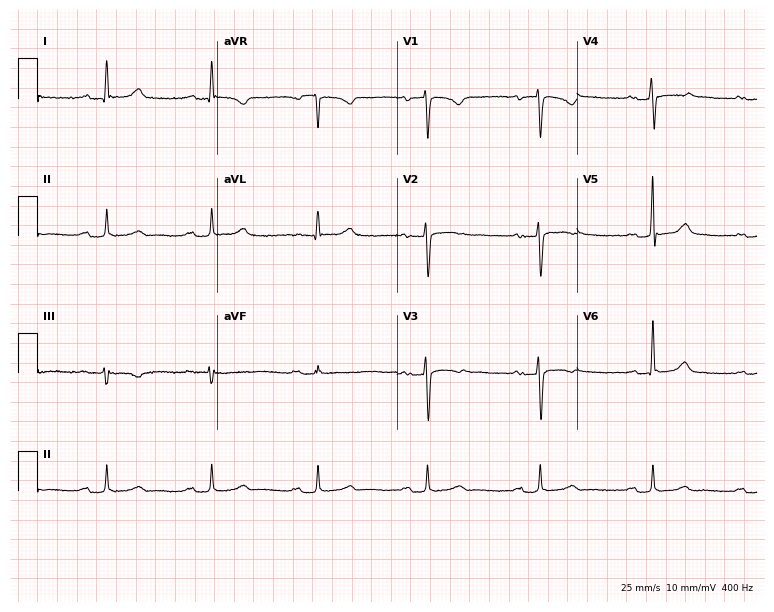
Standard 12-lead ECG recorded from a 33-year-old female patient (7.3-second recording at 400 Hz). The tracing shows first-degree AV block.